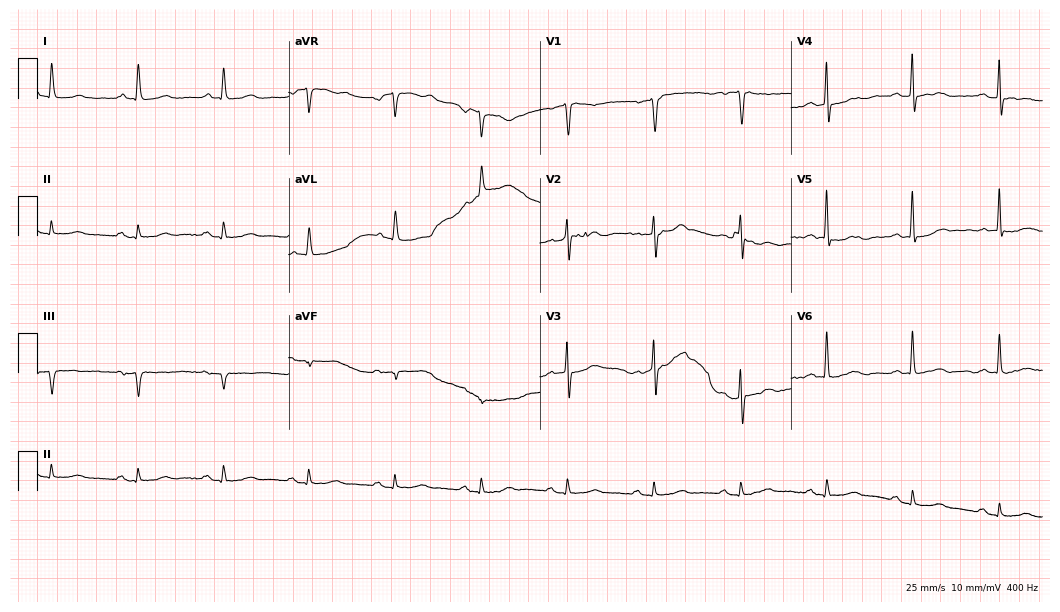
Resting 12-lead electrocardiogram. Patient: a 75-year-old man. None of these six findings is recorded: first-degree AV block, right bundle branch block, left bundle branch block, sinus bradycardia, atrial fibrillation, sinus tachycardia. Findings outside these six are not listed.